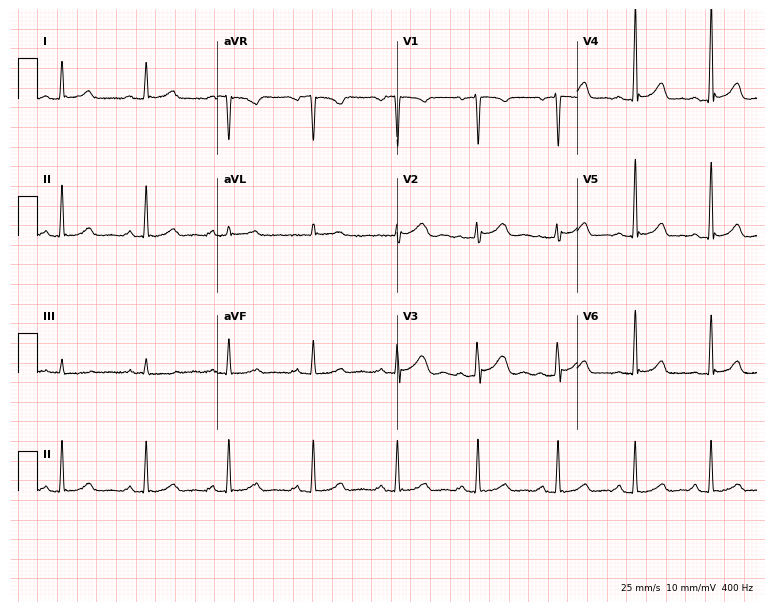
12-lead ECG from a 24-year-old female. Recorded interpretation: within normal limits.